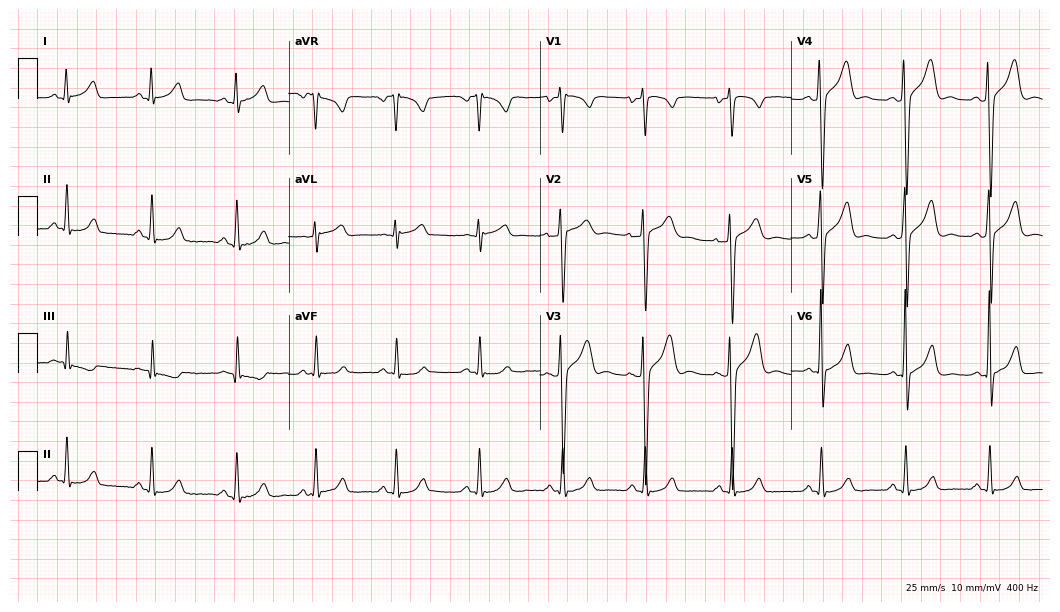
12-lead ECG (10.2-second recording at 400 Hz) from a male patient, 26 years old. Labelled as a normal ECG.